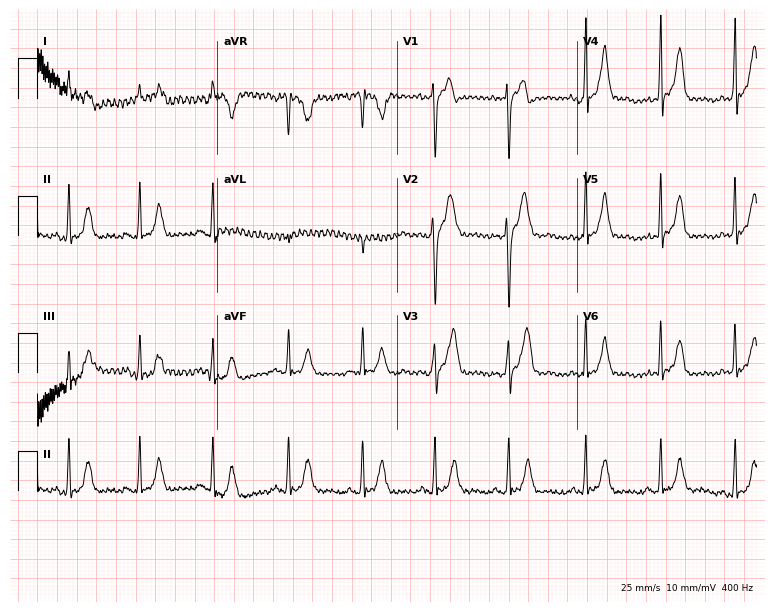
Standard 12-lead ECG recorded from a 28-year-old female patient (7.3-second recording at 400 Hz). None of these six findings is recorded: first-degree AV block, right bundle branch block (RBBB), left bundle branch block (LBBB), sinus bradycardia, atrial fibrillation (AF), sinus tachycardia. Only these six findings were labelled.